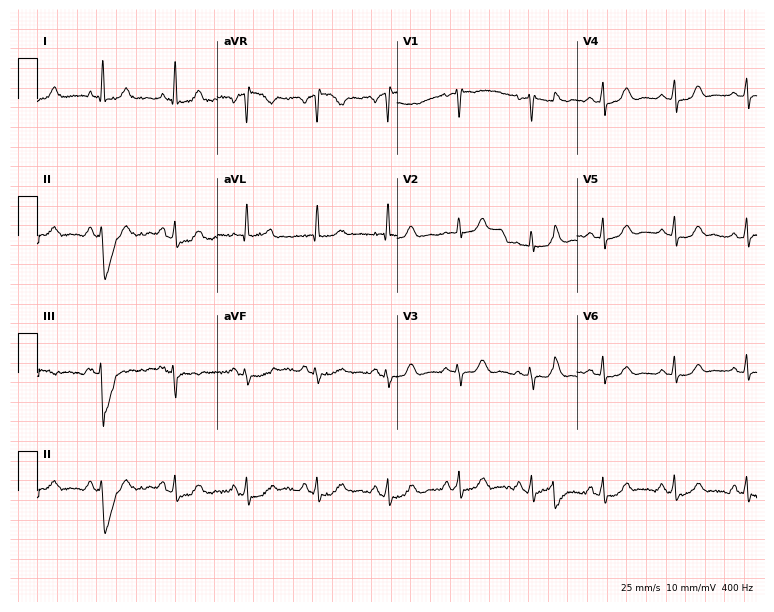
Standard 12-lead ECG recorded from a 59-year-old woman (7.3-second recording at 400 Hz). None of these six findings is recorded: first-degree AV block, right bundle branch block, left bundle branch block, sinus bradycardia, atrial fibrillation, sinus tachycardia.